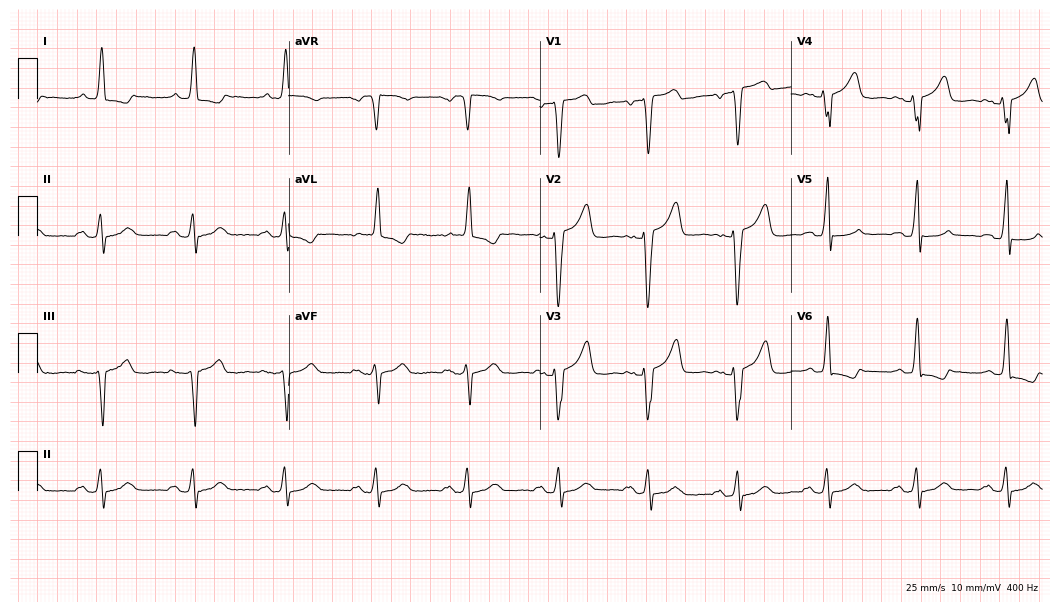
Resting 12-lead electrocardiogram (10.2-second recording at 400 Hz). Patient: a 78-year-old female. The tracing shows first-degree AV block.